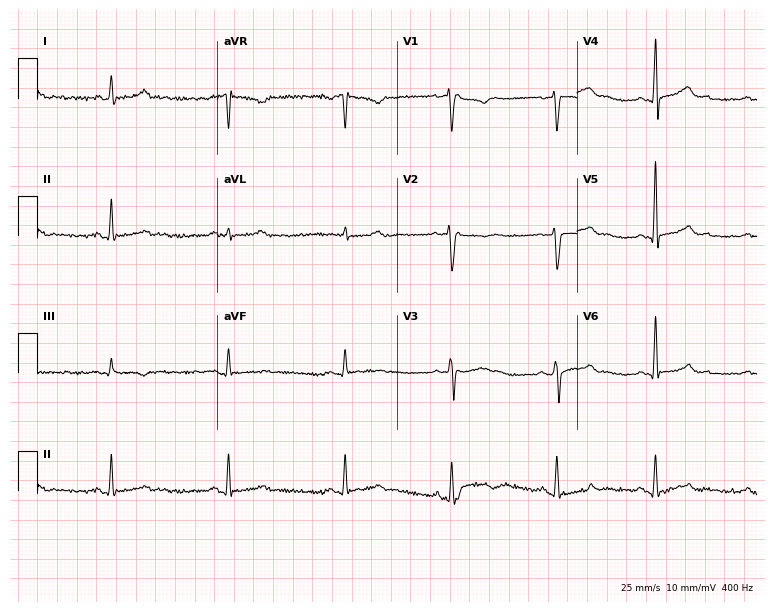
12-lead ECG from a male patient, 39 years old. Labelled as a normal ECG.